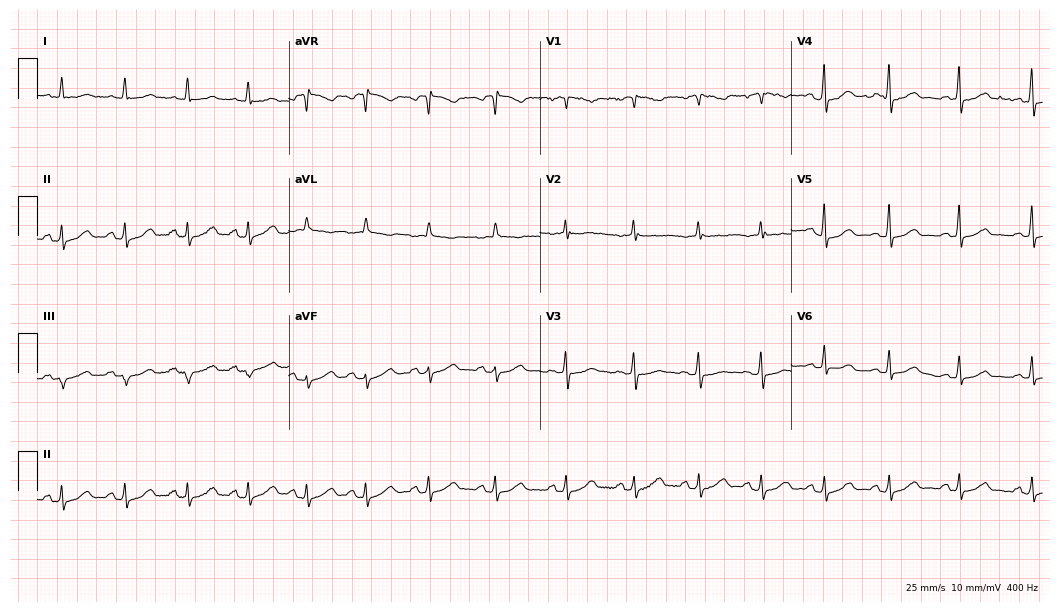
Resting 12-lead electrocardiogram (10.2-second recording at 400 Hz). Patient: a 60-year-old female. Read as a normal ECG.